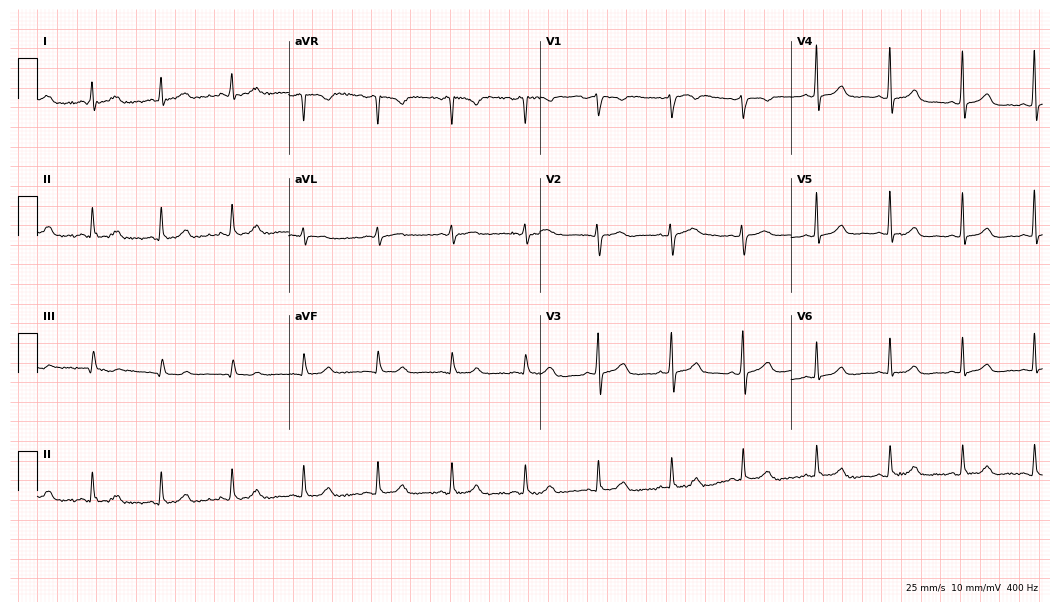
Standard 12-lead ECG recorded from a woman, 51 years old. Read as a normal ECG.